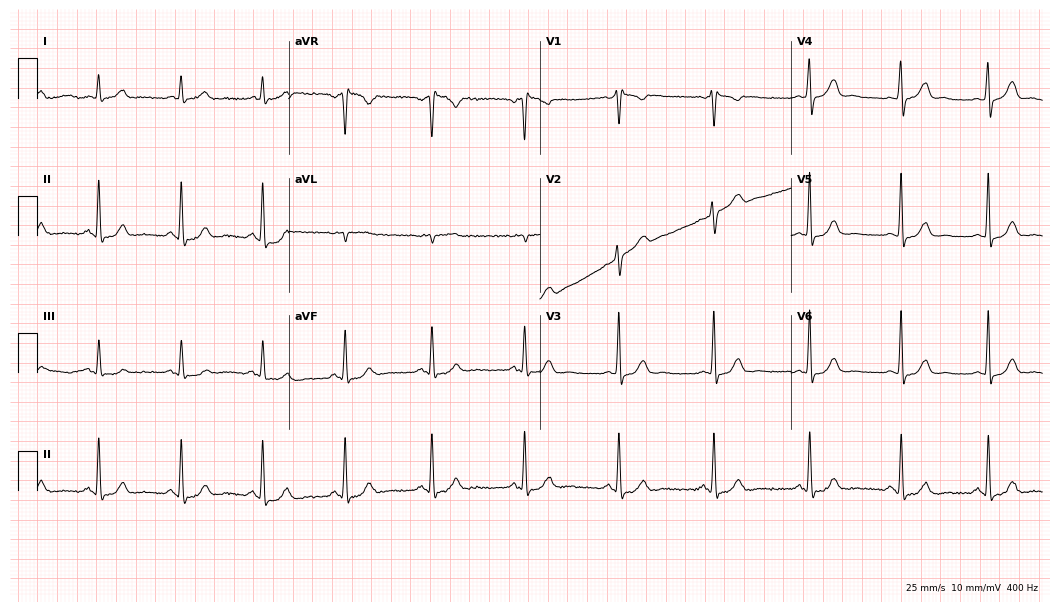
12-lead ECG from a female, 59 years old (10.2-second recording at 400 Hz). No first-degree AV block, right bundle branch block, left bundle branch block, sinus bradycardia, atrial fibrillation or sinus tachycardia recorded for this tracing. Findings outside these six are not listed.